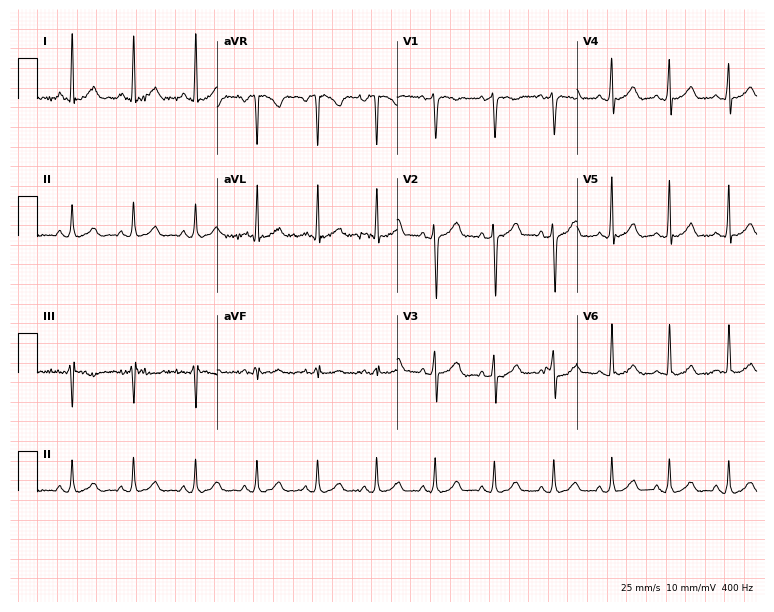
Electrocardiogram (7.3-second recording at 400 Hz), a 41-year-old female patient. Overall reading on record: normal ECG.